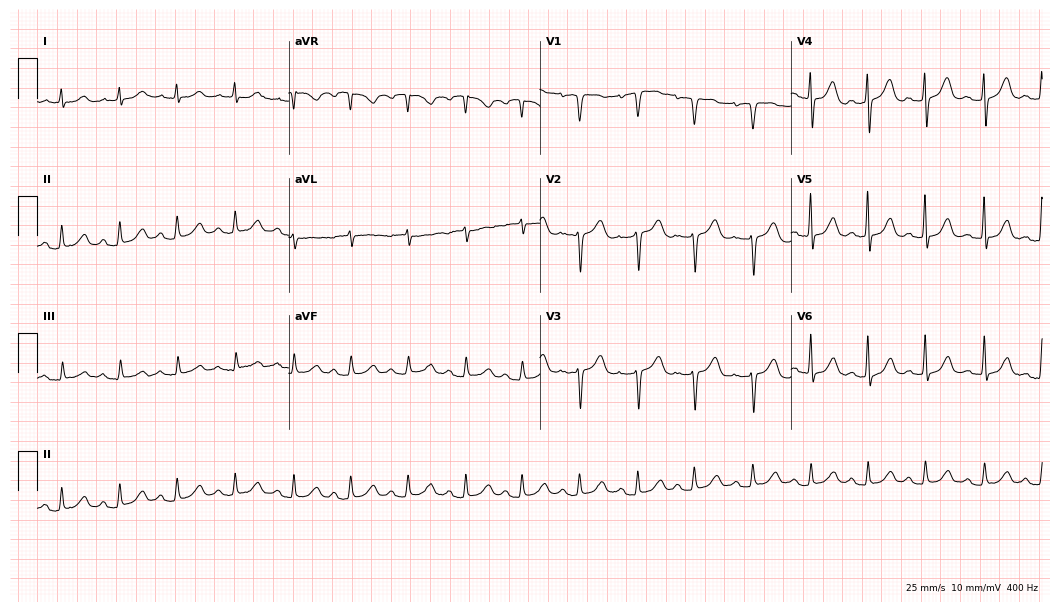
Electrocardiogram, a female, 68 years old. Overall reading on record: normal ECG.